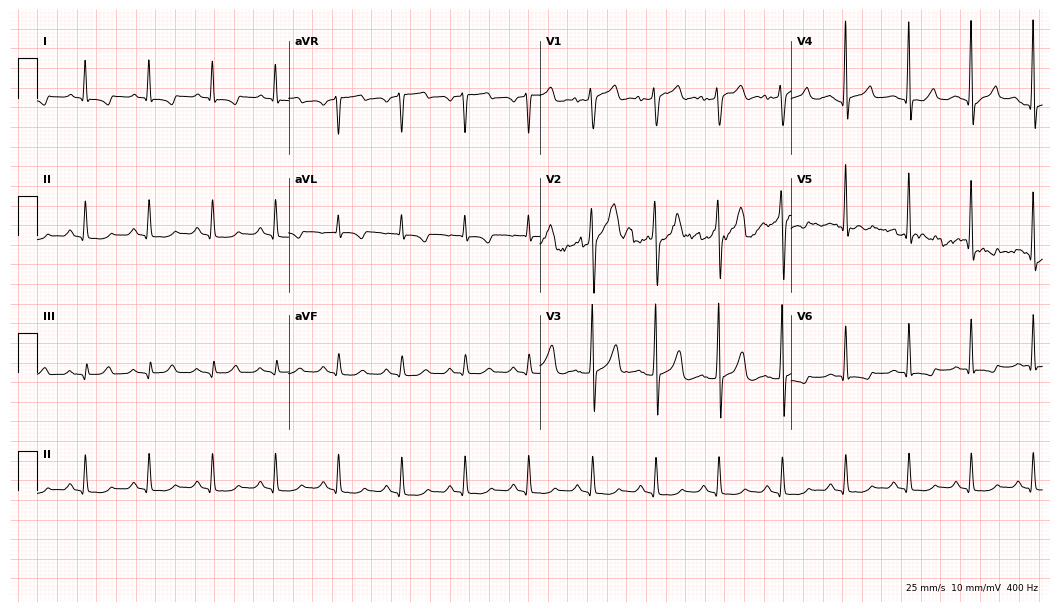
12-lead ECG from a 46-year-old male patient. No first-degree AV block, right bundle branch block, left bundle branch block, sinus bradycardia, atrial fibrillation or sinus tachycardia recorded for this tracing. Other findings, if any, are not listed.